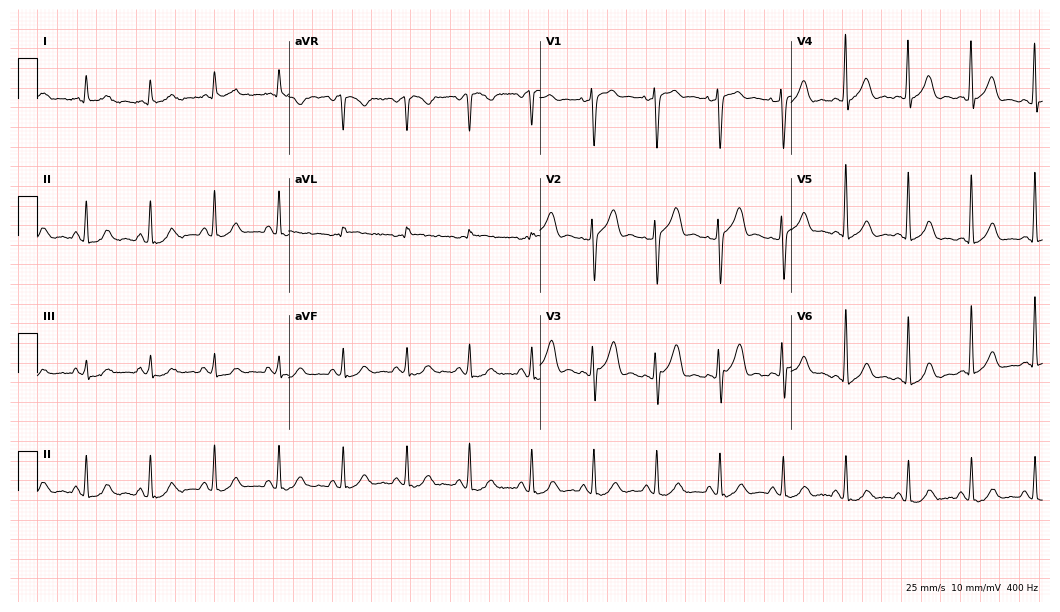
Standard 12-lead ECG recorded from a 68-year-old male patient (10.2-second recording at 400 Hz). Read as a normal ECG.